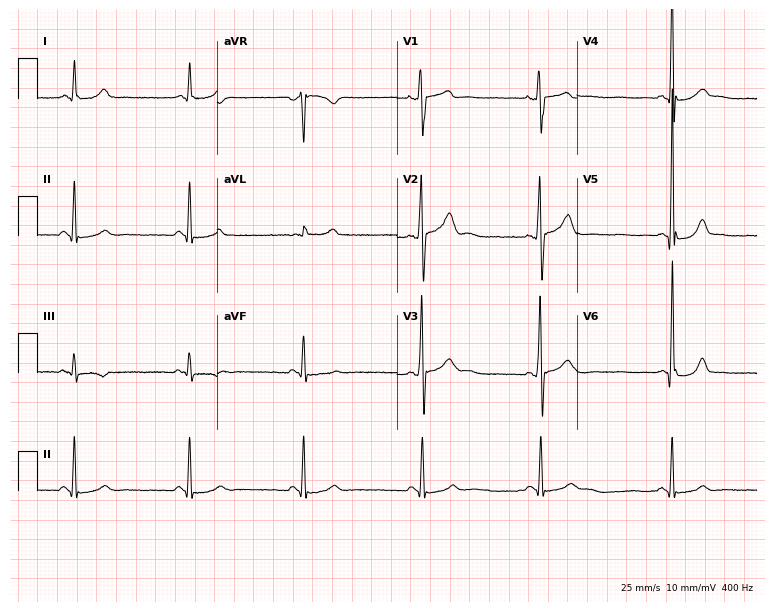
Electrocardiogram (7.3-second recording at 400 Hz), a male, 29 years old. Interpretation includes sinus bradycardia (a sinus rate of 50 beats per minute or less).